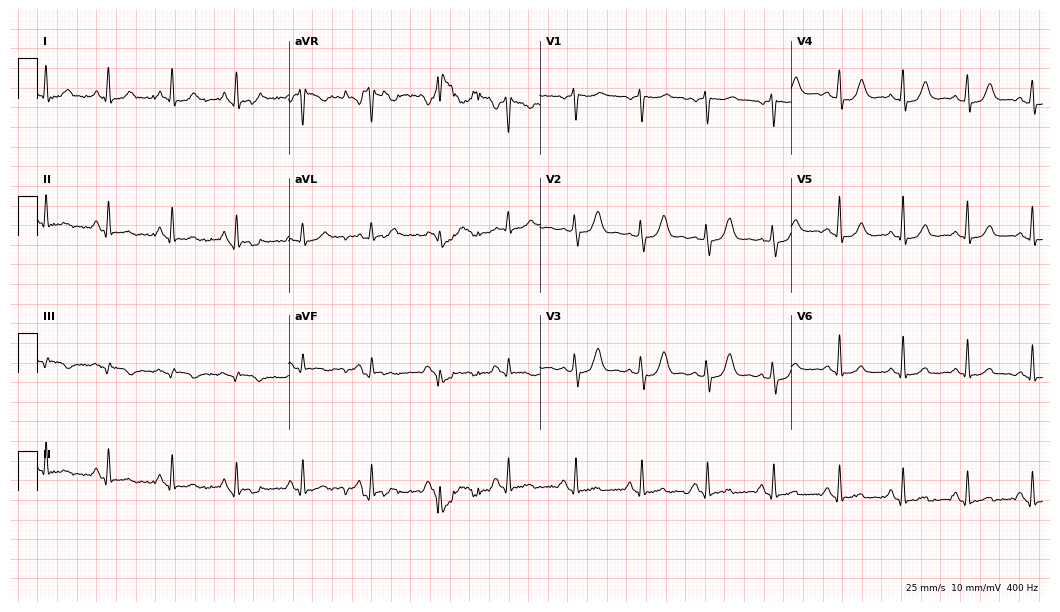
Resting 12-lead electrocardiogram. Patient: a female, 55 years old. Read as a normal ECG.